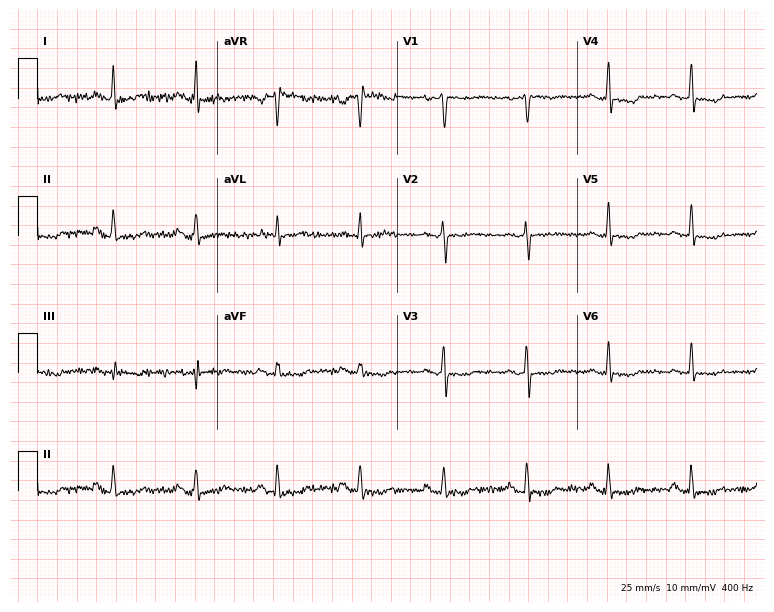
12-lead ECG from a woman, 52 years old. No first-degree AV block, right bundle branch block, left bundle branch block, sinus bradycardia, atrial fibrillation or sinus tachycardia recorded for this tracing.